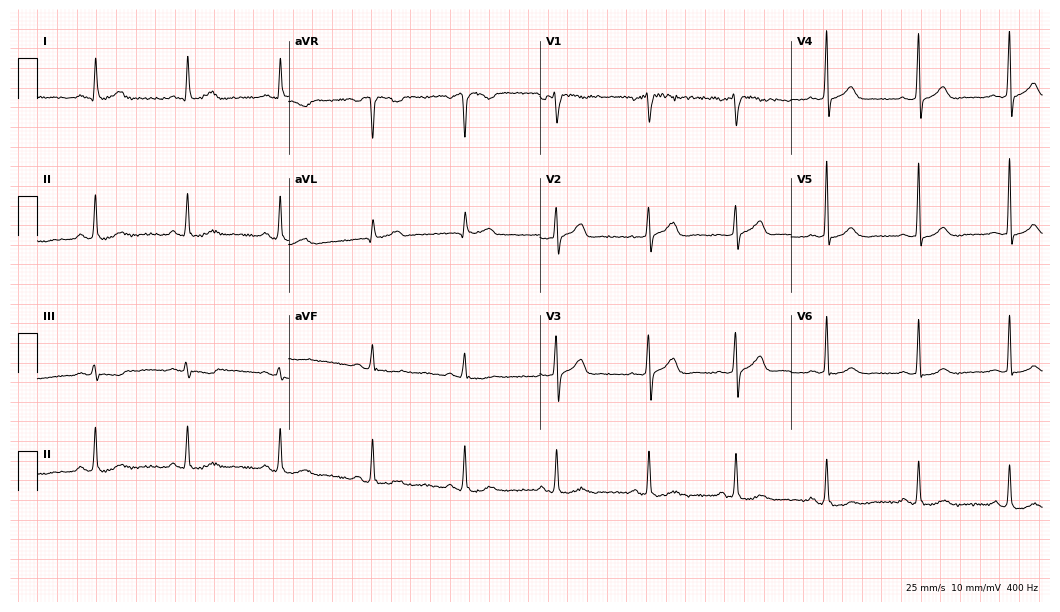
12-lead ECG from a female patient, 66 years old. Labelled as a normal ECG.